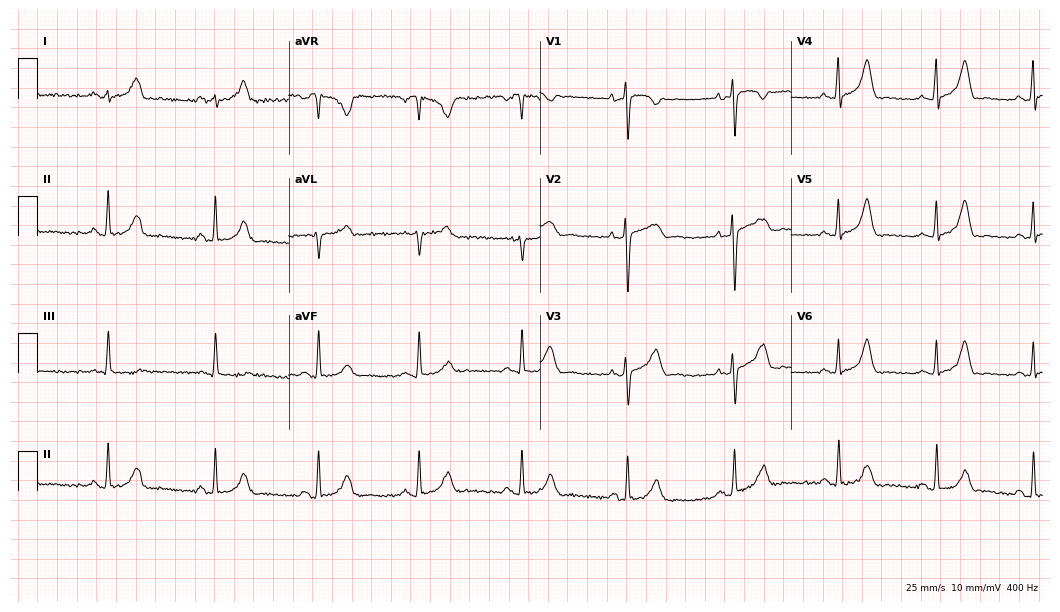
ECG (10.2-second recording at 400 Hz) — a 44-year-old woman. Labelled as a normal ECG.